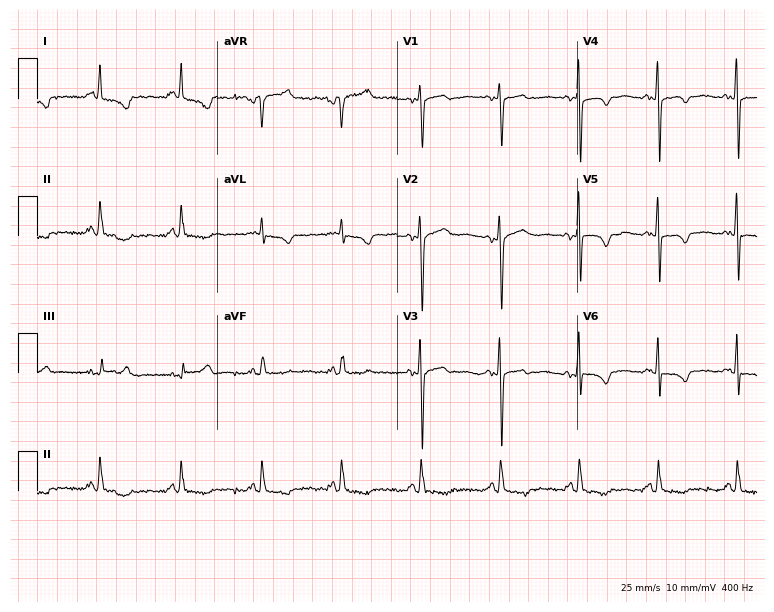
ECG — a 66-year-old woman. Screened for six findings — first-degree AV block, right bundle branch block (RBBB), left bundle branch block (LBBB), sinus bradycardia, atrial fibrillation (AF), sinus tachycardia — none is recorded. Other findings, if any, are not listed.